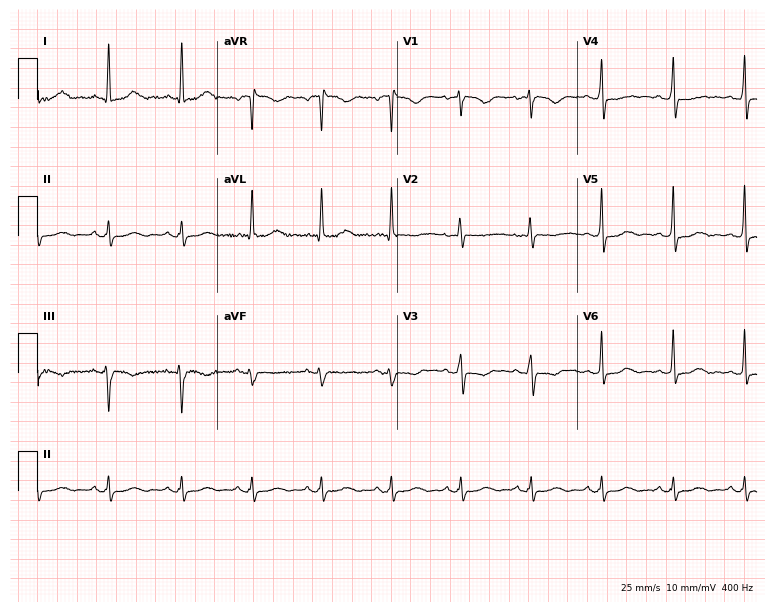
Resting 12-lead electrocardiogram. Patient: a female, 42 years old. None of these six findings is recorded: first-degree AV block, right bundle branch block, left bundle branch block, sinus bradycardia, atrial fibrillation, sinus tachycardia. Only these six findings were labelled.